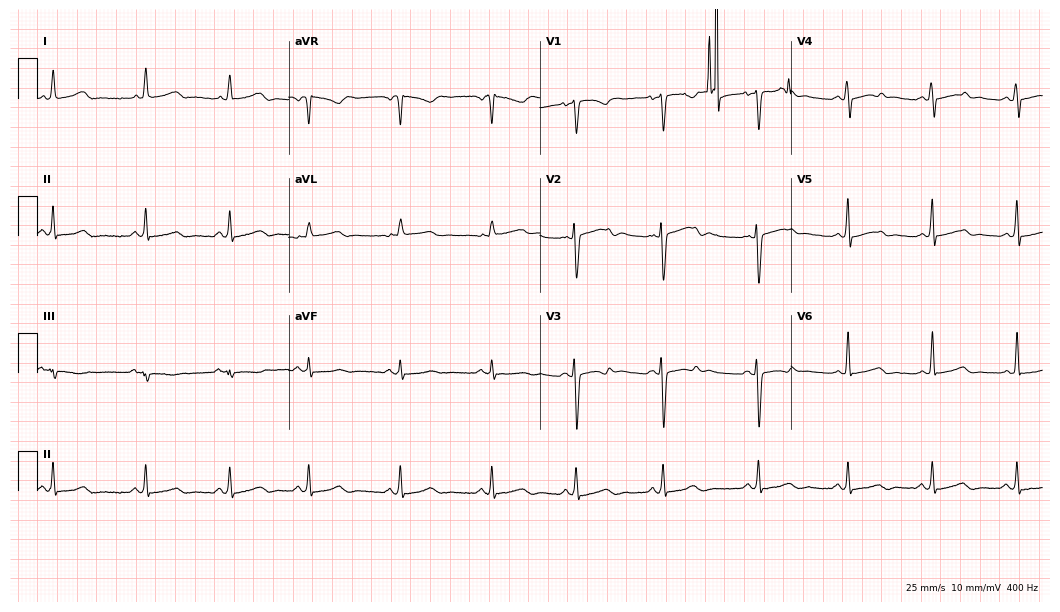
12-lead ECG (10.2-second recording at 400 Hz) from a female, 21 years old. Screened for six findings — first-degree AV block, right bundle branch block, left bundle branch block, sinus bradycardia, atrial fibrillation, sinus tachycardia — none is recorded. Findings outside these six are not listed.